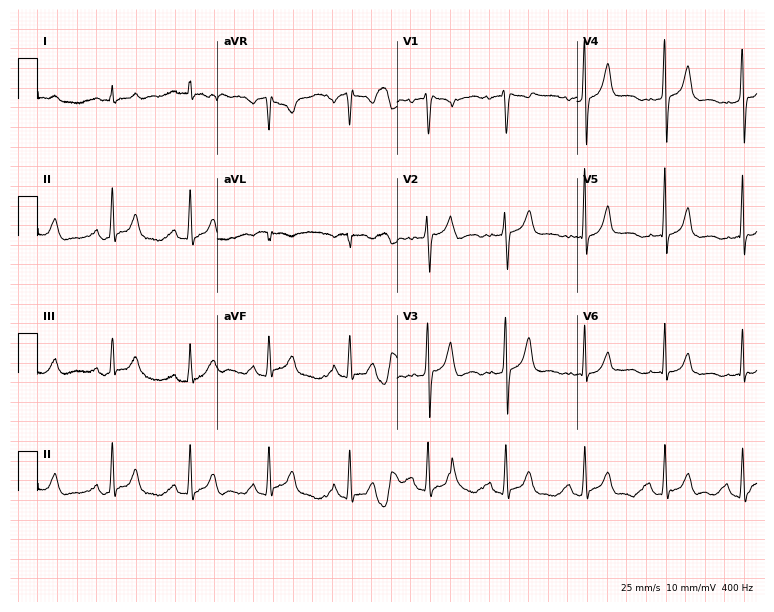
Resting 12-lead electrocardiogram. Patient: a 52-year-old male. None of these six findings is recorded: first-degree AV block, right bundle branch block (RBBB), left bundle branch block (LBBB), sinus bradycardia, atrial fibrillation (AF), sinus tachycardia.